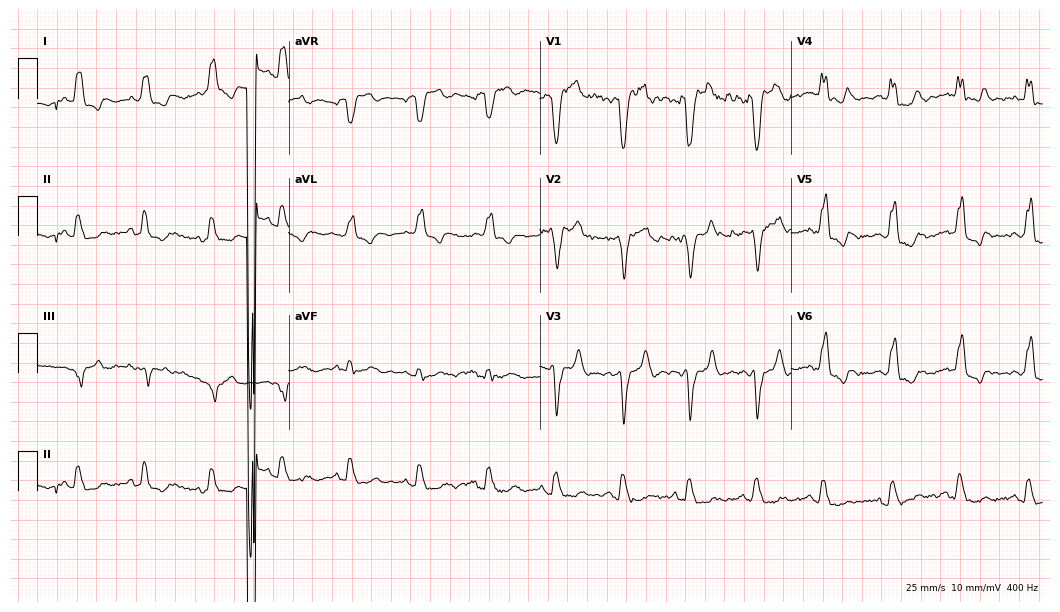
12-lead ECG from a 71-year-old man. Findings include atrial fibrillation (AF).